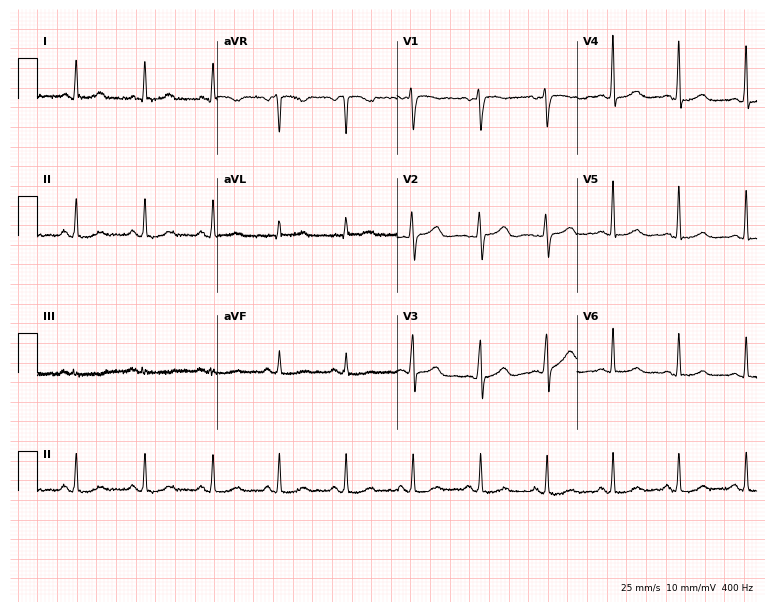
Electrocardiogram, a female, 41 years old. Overall reading on record: normal ECG.